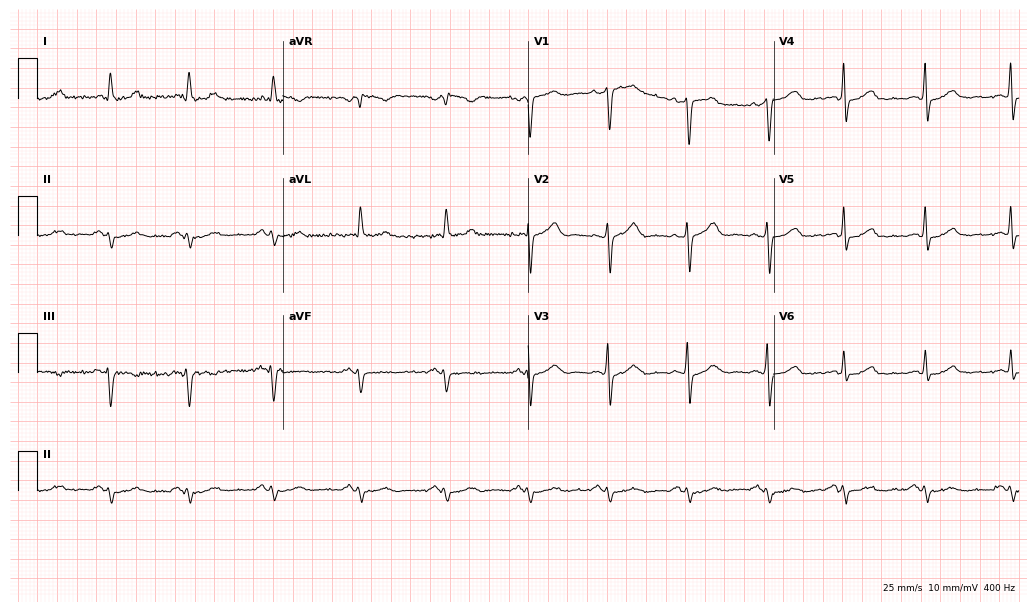
Electrocardiogram (10-second recording at 400 Hz), a 57-year-old male patient. Of the six screened findings (first-degree AV block, right bundle branch block (RBBB), left bundle branch block (LBBB), sinus bradycardia, atrial fibrillation (AF), sinus tachycardia), none is recorded.